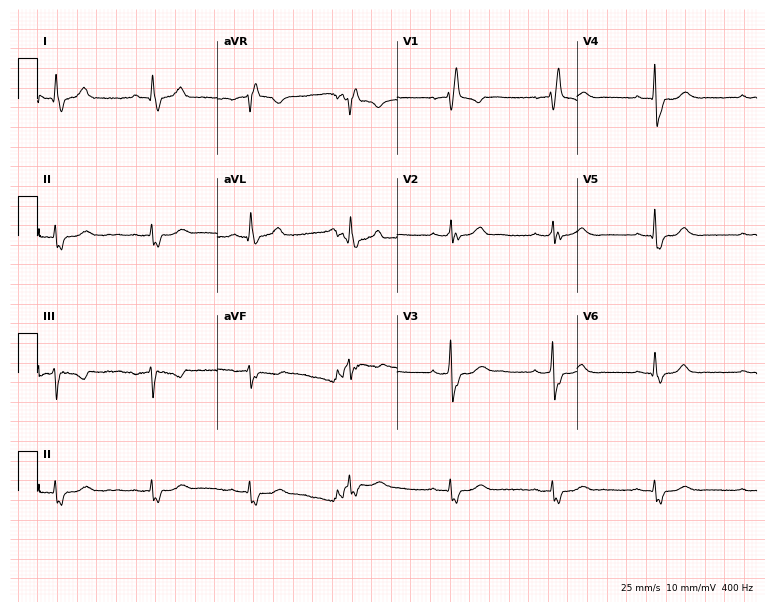
12-lead ECG from a male patient, 53 years old. Findings include right bundle branch block.